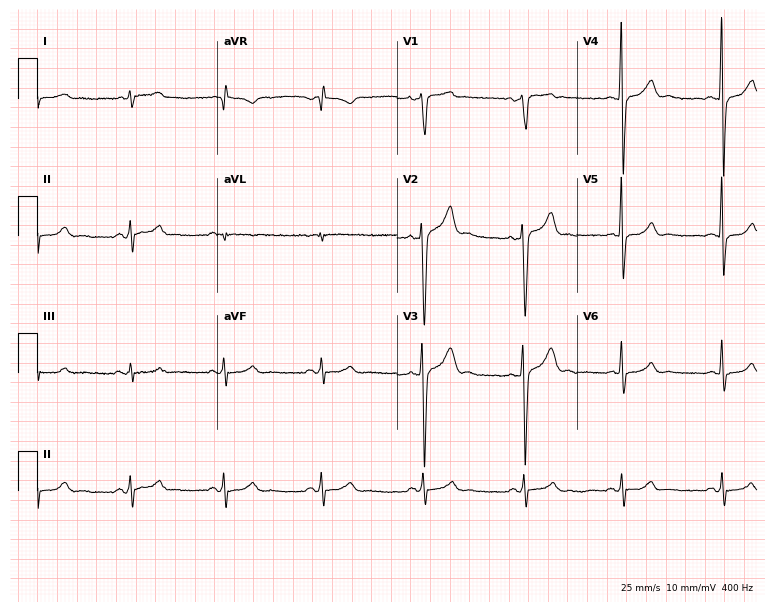
12-lead ECG from a 48-year-old male patient. Screened for six findings — first-degree AV block, right bundle branch block, left bundle branch block, sinus bradycardia, atrial fibrillation, sinus tachycardia — none is recorded. Only these six findings were labelled.